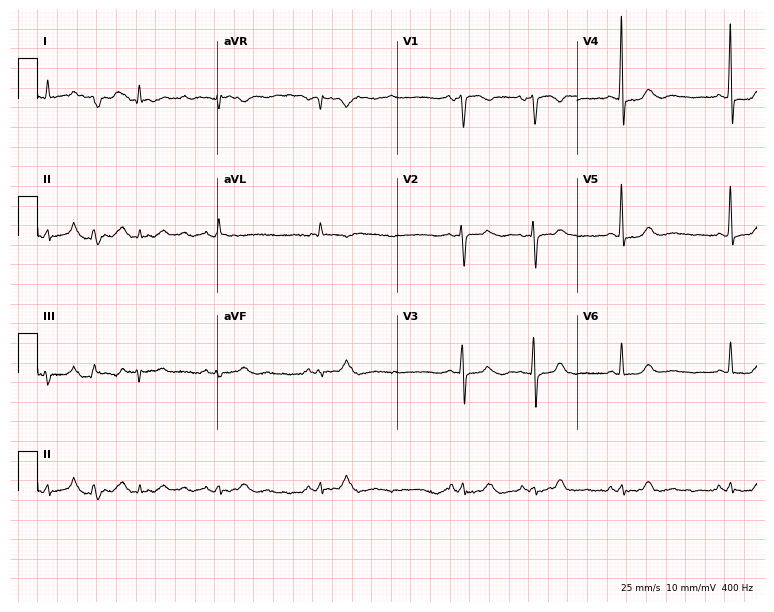
Electrocardiogram (7.3-second recording at 400 Hz), a 65-year-old female patient. Of the six screened findings (first-degree AV block, right bundle branch block, left bundle branch block, sinus bradycardia, atrial fibrillation, sinus tachycardia), none is recorded. Only these six findings were labelled.